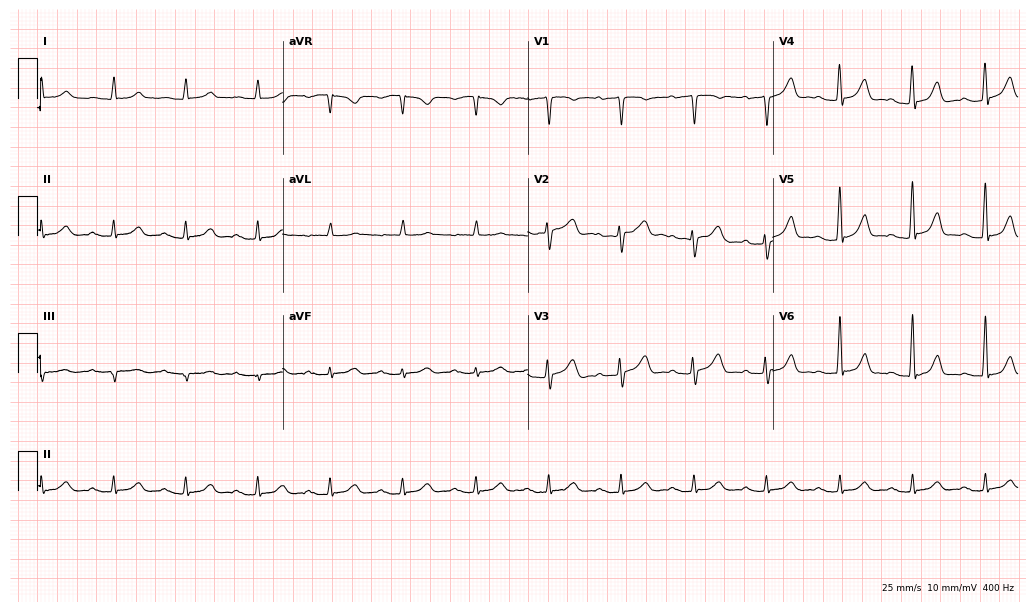
Resting 12-lead electrocardiogram. Patient: a 75-year-old male. The tracing shows first-degree AV block.